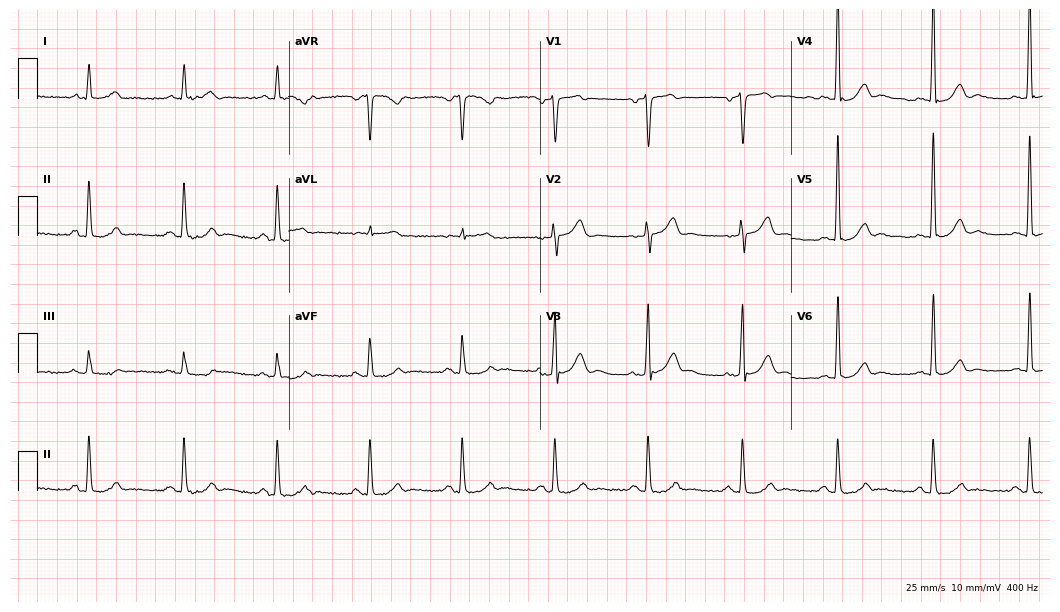
12-lead ECG from a 77-year-old man (10.2-second recording at 400 Hz). Recorded interpretation: within normal limits.